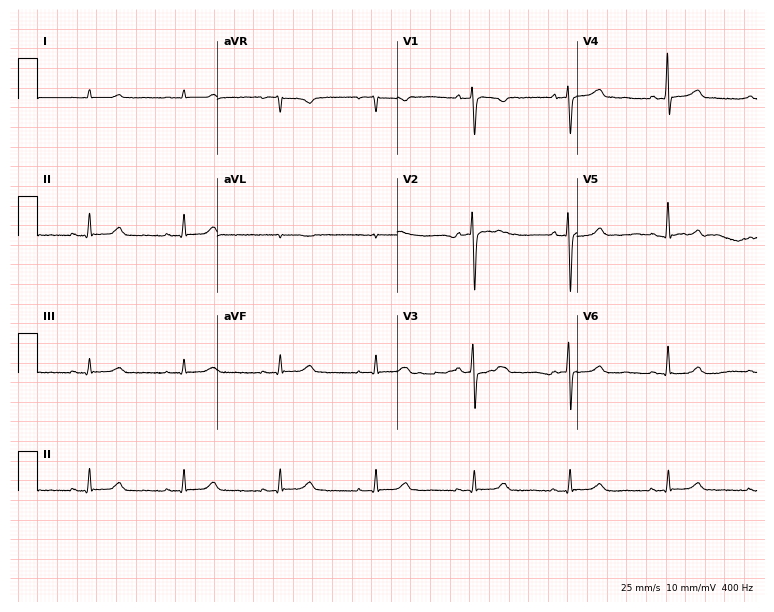
12-lead ECG from a 75-year-old female patient. No first-degree AV block, right bundle branch block (RBBB), left bundle branch block (LBBB), sinus bradycardia, atrial fibrillation (AF) or sinus tachycardia recorded for this tracing.